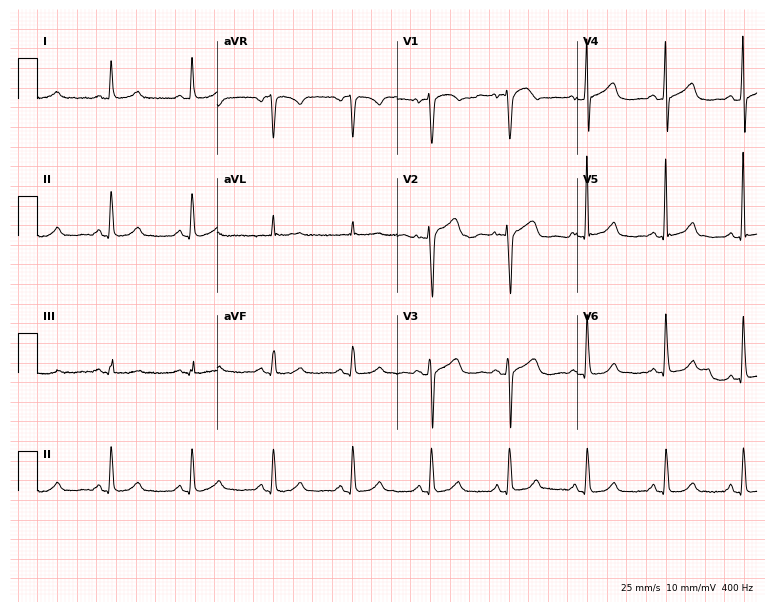
Standard 12-lead ECG recorded from a woman, 63 years old (7.3-second recording at 400 Hz). Read as a normal ECG.